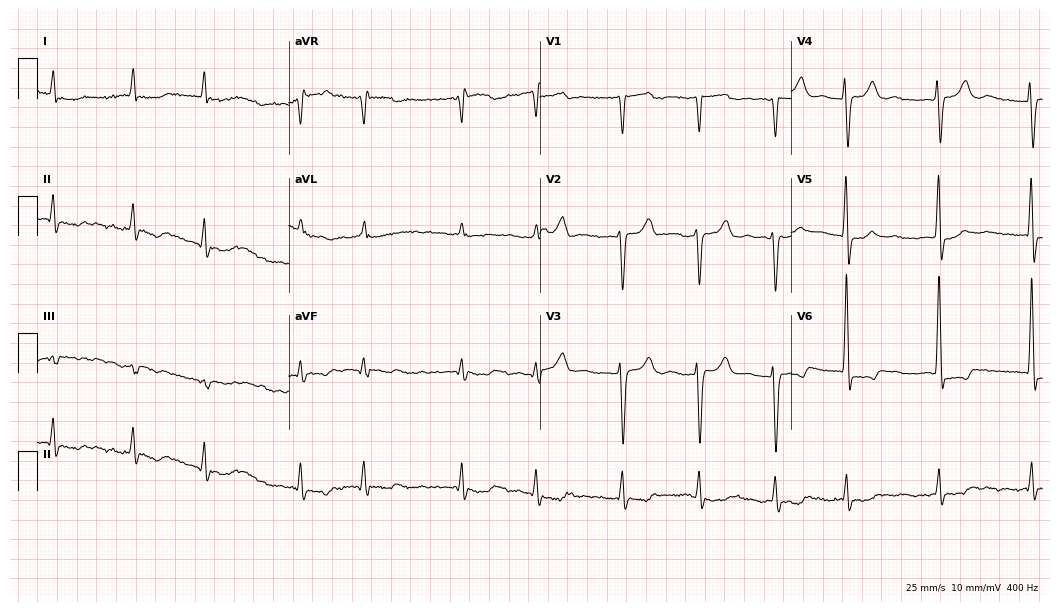
12-lead ECG from a 71-year-old female (10.2-second recording at 400 Hz). Shows atrial fibrillation.